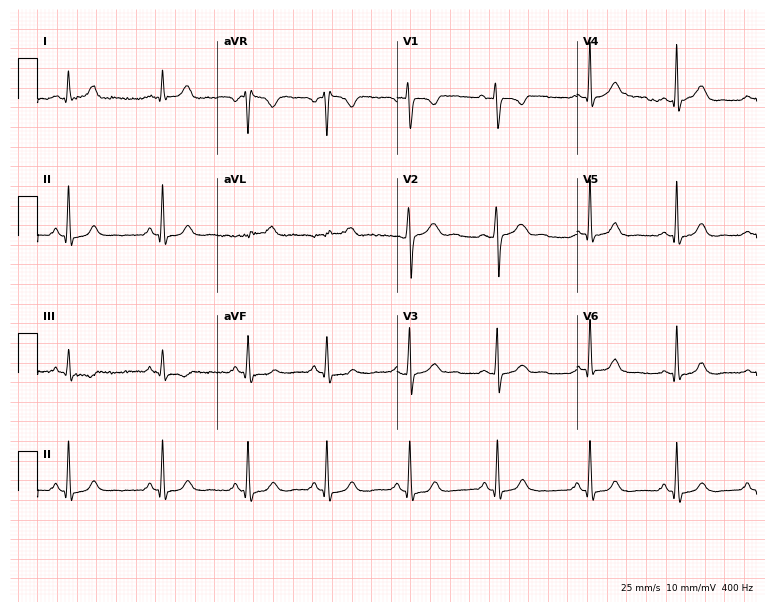
Resting 12-lead electrocardiogram (7.3-second recording at 400 Hz). Patient: a woman, 26 years old. Read as a normal ECG.